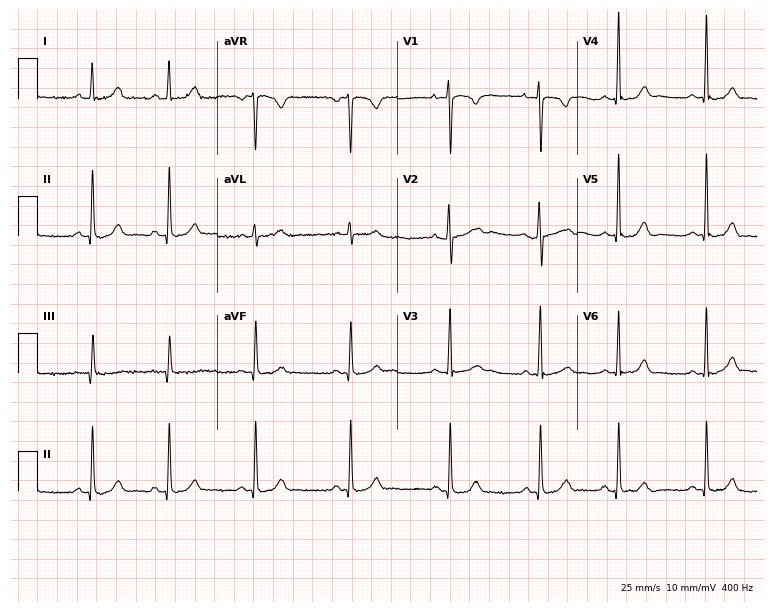
12-lead ECG (7.3-second recording at 400 Hz) from a 21-year-old female patient. Labelled as a normal ECG.